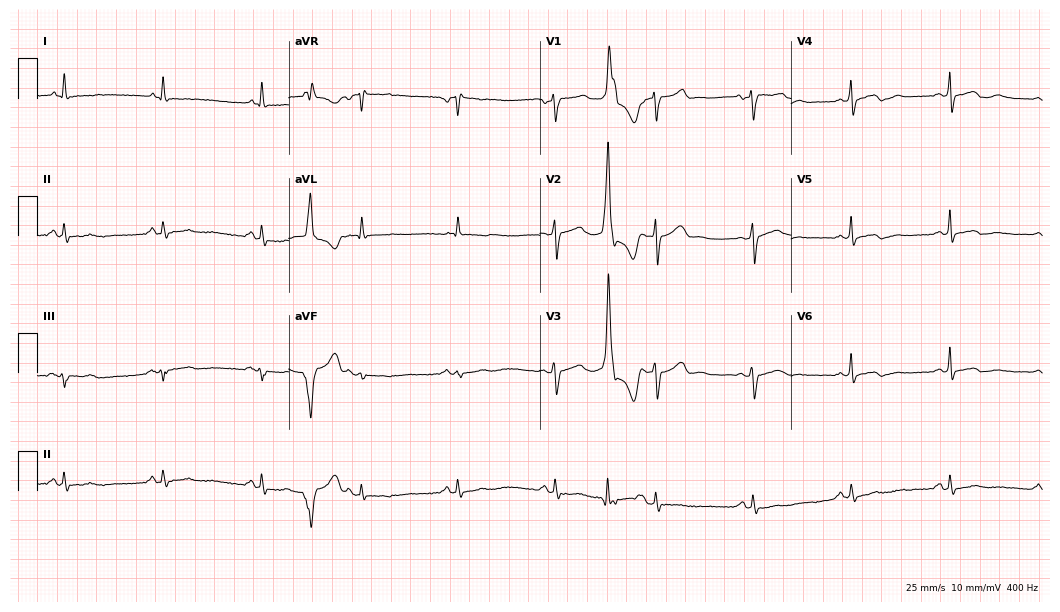
ECG (10.2-second recording at 400 Hz) — a 57-year-old female patient. Screened for six findings — first-degree AV block, right bundle branch block (RBBB), left bundle branch block (LBBB), sinus bradycardia, atrial fibrillation (AF), sinus tachycardia — none is recorded.